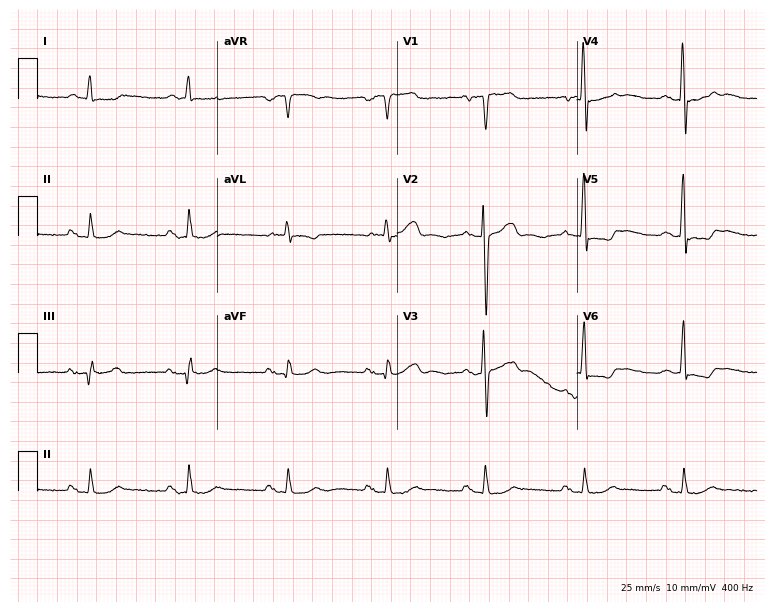
Resting 12-lead electrocardiogram (7.3-second recording at 400 Hz). Patient: a man, 63 years old. None of these six findings is recorded: first-degree AV block, right bundle branch block, left bundle branch block, sinus bradycardia, atrial fibrillation, sinus tachycardia. Other findings, if any, are not listed.